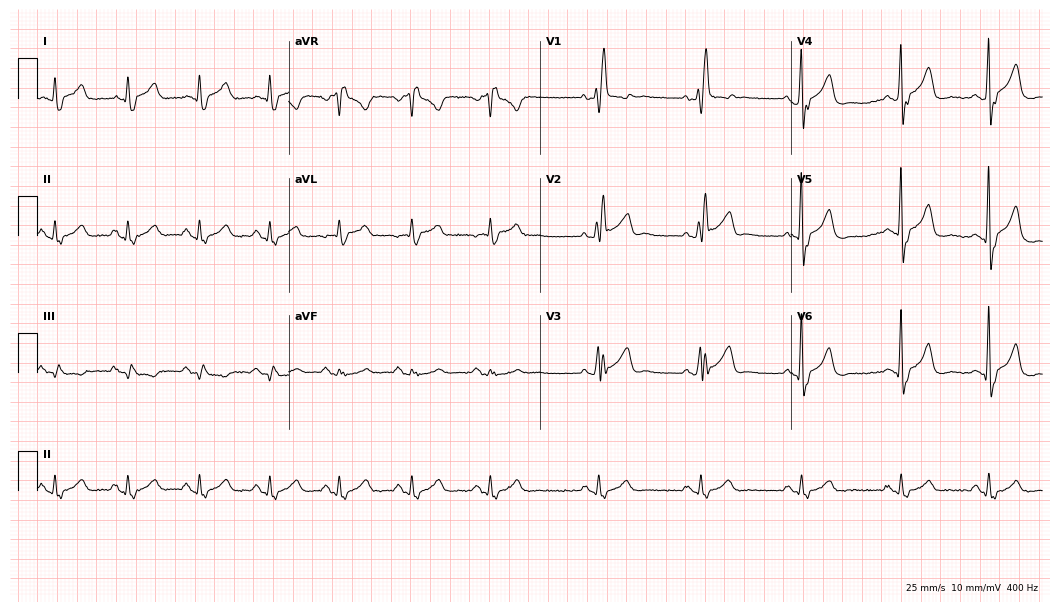
12-lead ECG from a 69-year-old male patient. Screened for six findings — first-degree AV block, right bundle branch block, left bundle branch block, sinus bradycardia, atrial fibrillation, sinus tachycardia — none is recorded. Only these six findings were labelled.